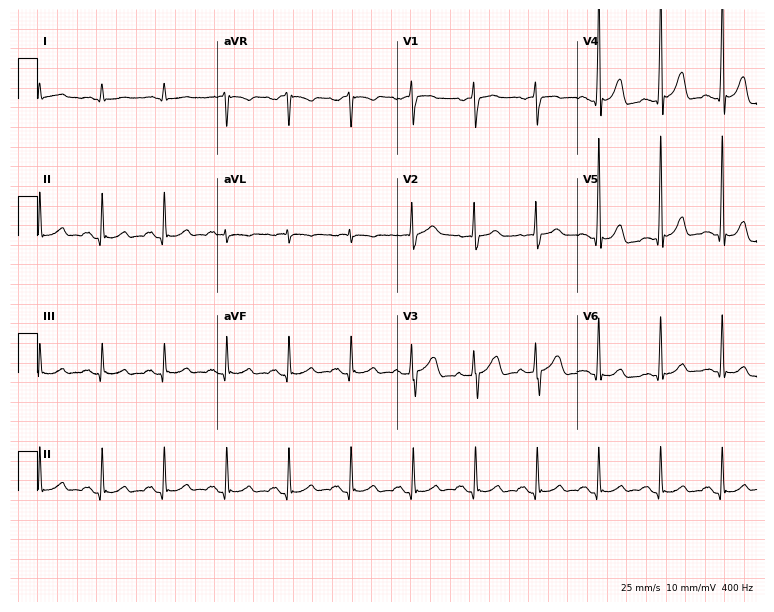
12-lead ECG from a 57-year-old man (7.3-second recording at 400 Hz). Recorded interpretation: within normal limits.